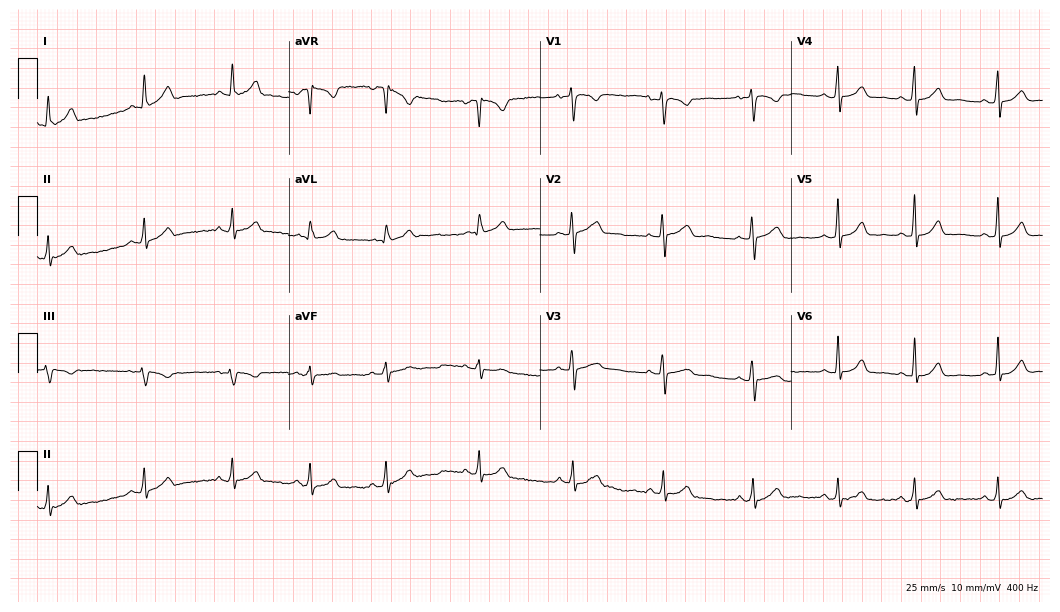
12-lead ECG (10.2-second recording at 400 Hz) from a 22-year-old female patient. Labelled as a normal ECG.